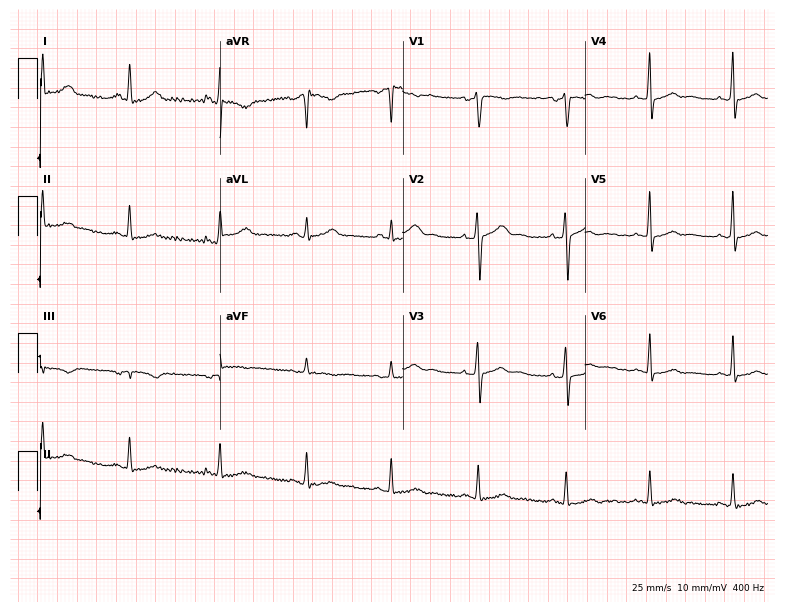
Standard 12-lead ECG recorded from a female, 39 years old. None of these six findings is recorded: first-degree AV block, right bundle branch block, left bundle branch block, sinus bradycardia, atrial fibrillation, sinus tachycardia. Other findings, if any, are not listed.